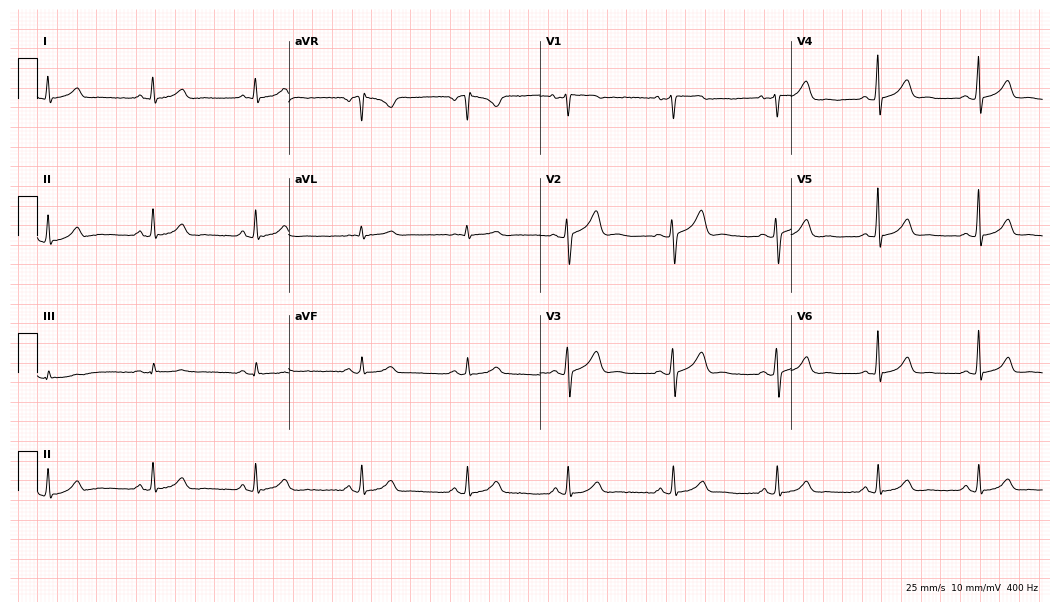
ECG (10.2-second recording at 400 Hz) — a male, 49 years old. Screened for six findings — first-degree AV block, right bundle branch block (RBBB), left bundle branch block (LBBB), sinus bradycardia, atrial fibrillation (AF), sinus tachycardia — none is recorded.